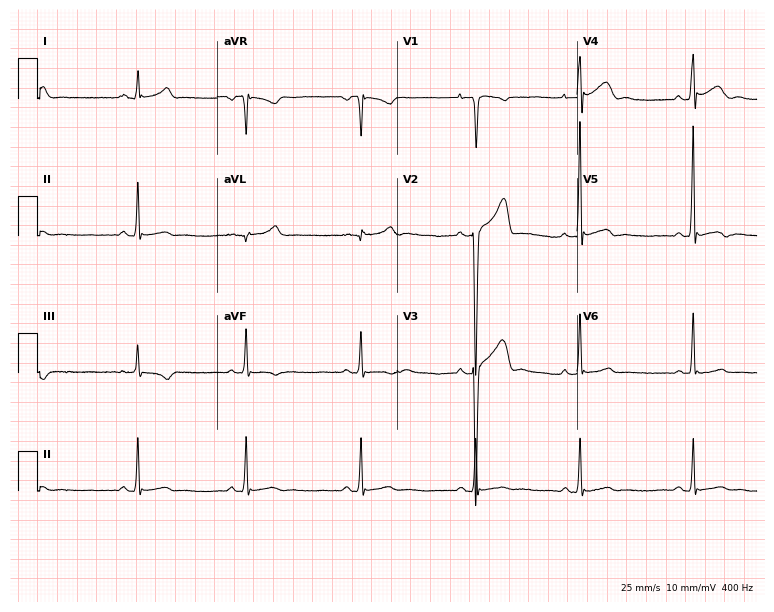
12-lead ECG (7.3-second recording at 400 Hz) from a man, 27 years old. Labelled as a normal ECG.